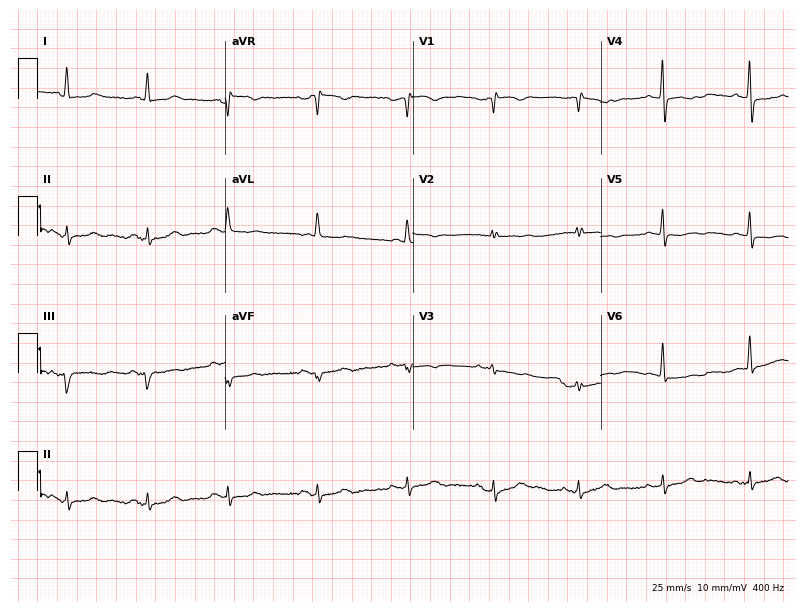
Electrocardiogram, a 78-year-old female. Of the six screened findings (first-degree AV block, right bundle branch block, left bundle branch block, sinus bradycardia, atrial fibrillation, sinus tachycardia), none is recorded. Only these six findings were labelled.